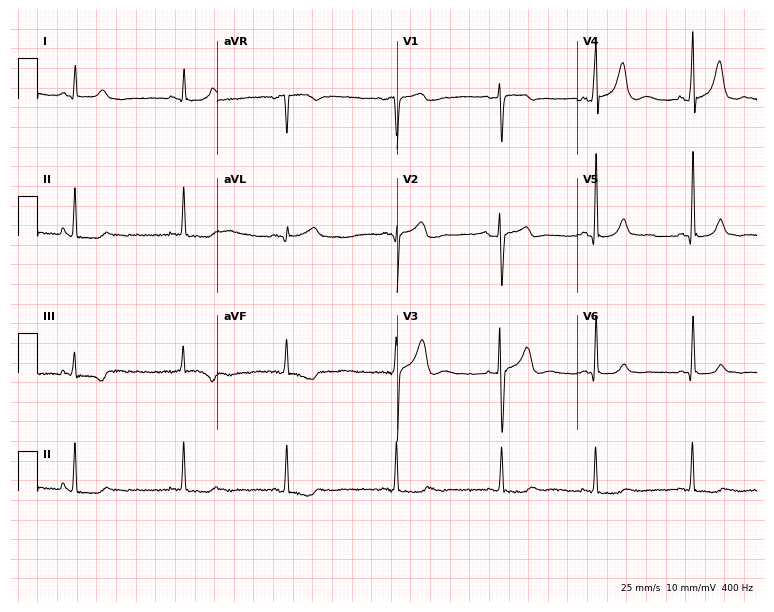
ECG (7.3-second recording at 400 Hz) — a 50-year-old woman. Screened for six findings — first-degree AV block, right bundle branch block, left bundle branch block, sinus bradycardia, atrial fibrillation, sinus tachycardia — none is recorded. Other findings, if any, are not listed.